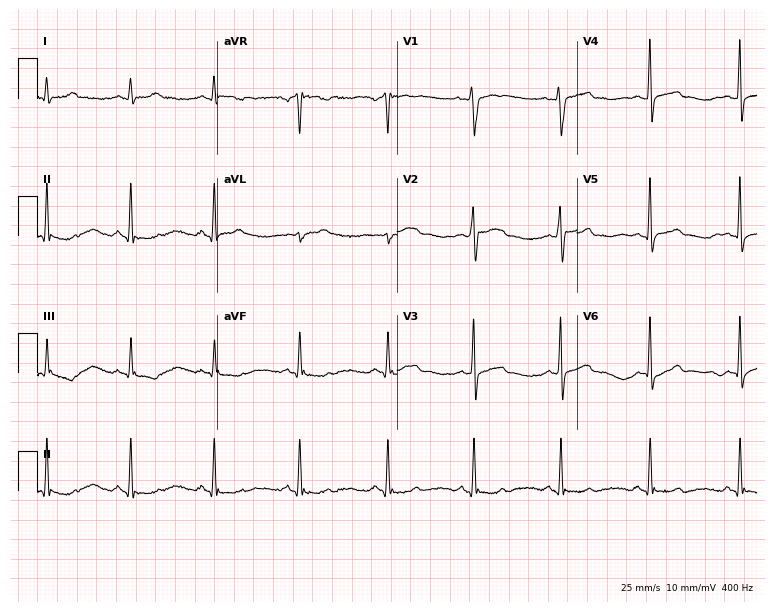
12-lead ECG from a male, 32 years old. No first-degree AV block, right bundle branch block (RBBB), left bundle branch block (LBBB), sinus bradycardia, atrial fibrillation (AF) or sinus tachycardia recorded for this tracing.